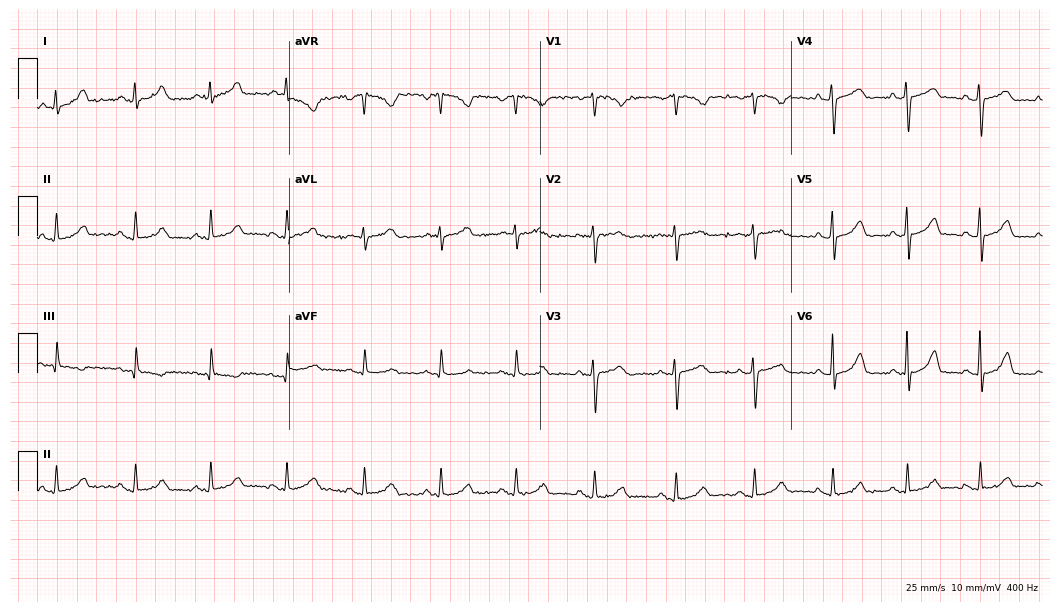
ECG (10.2-second recording at 400 Hz) — a 36-year-old female. Labelled as a normal ECG.